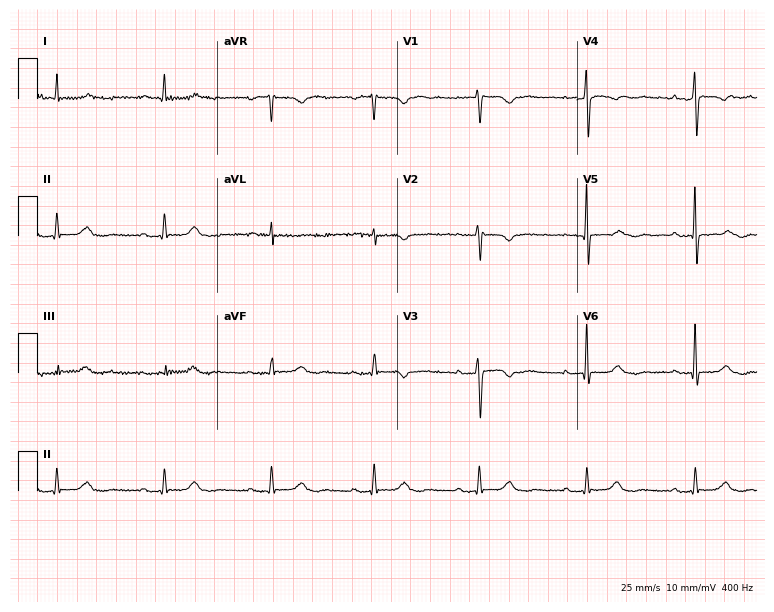
Resting 12-lead electrocardiogram (7.3-second recording at 400 Hz). Patient: a female, 70 years old. None of these six findings is recorded: first-degree AV block, right bundle branch block, left bundle branch block, sinus bradycardia, atrial fibrillation, sinus tachycardia.